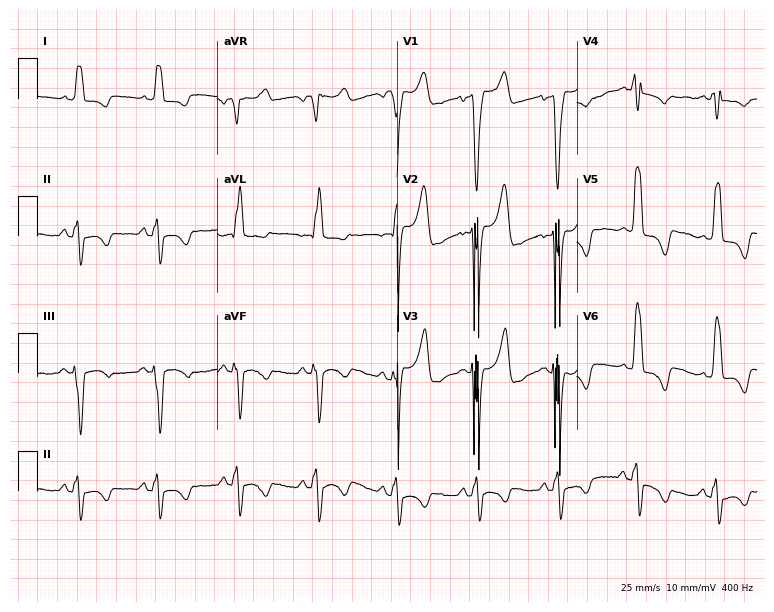
Electrocardiogram, a female, 64 years old. Interpretation includes left bundle branch block.